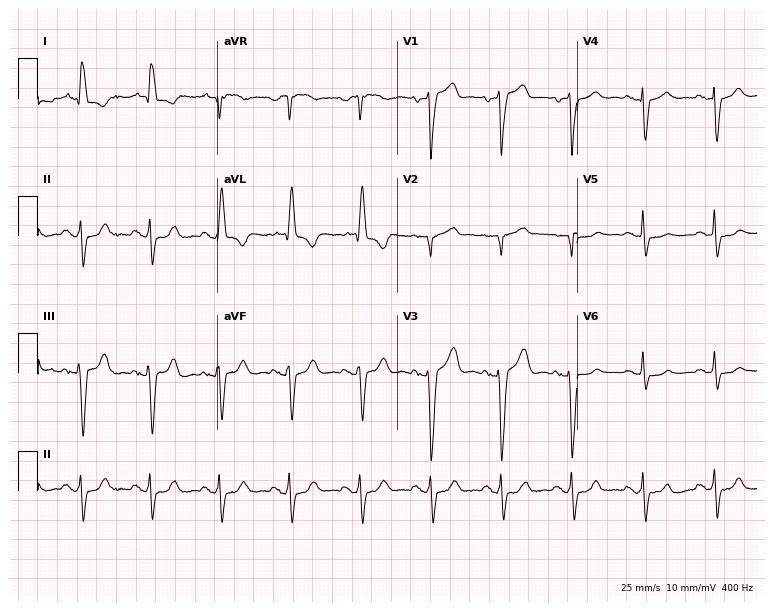
Electrocardiogram, an 81-year-old female. Of the six screened findings (first-degree AV block, right bundle branch block, left bundle branch block, sinus bradycardia, atrial fibrillation, sinus tachycardia), none is recorded.